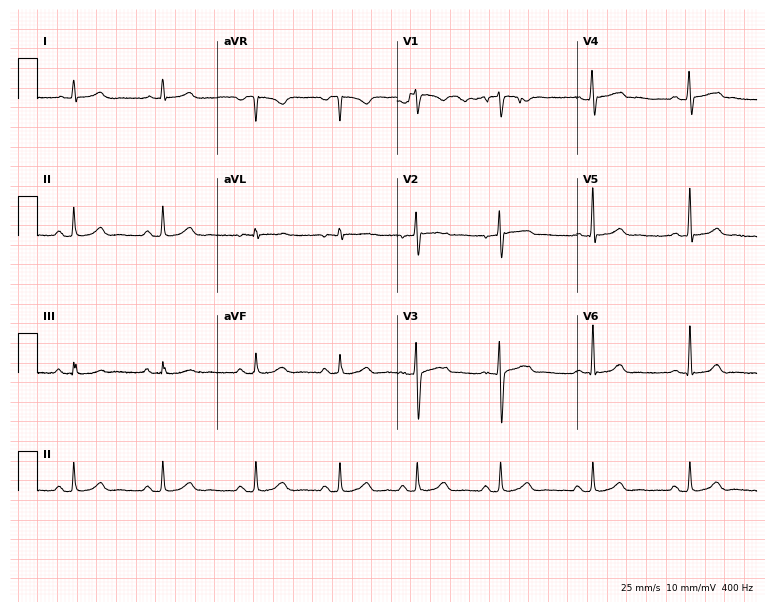
Electrocardiogram, a woman, 30 years old. Overall reading on record: normal ECG.